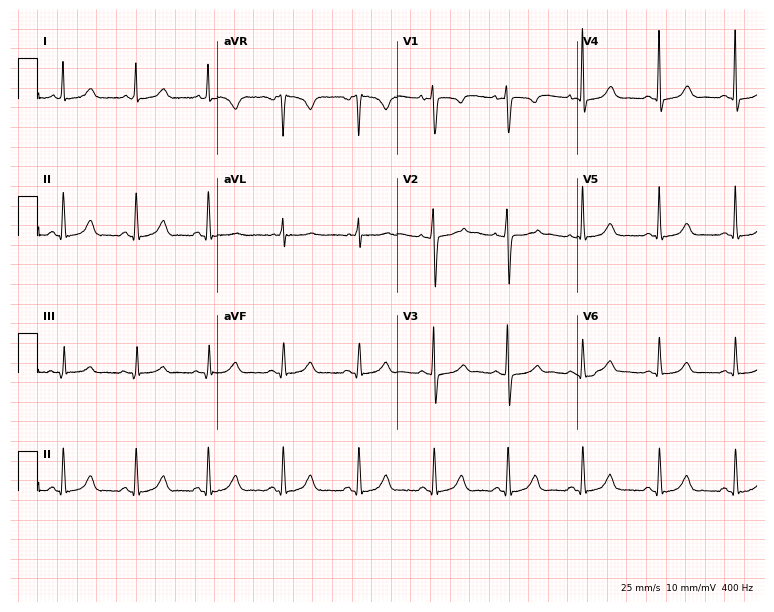
Resting 12-lead electrocardiogram. Patient: a female, 52 years old. Read as a normal ECG.